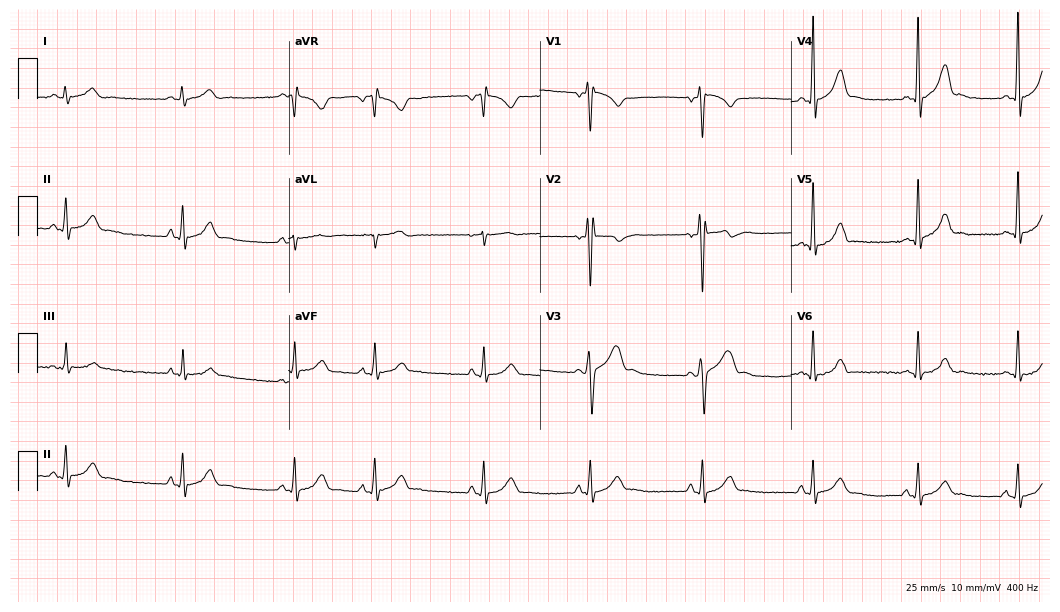
12-lead ECG from a male patient, 18 years old (10.2-second recording at 400 Hz). Recorded interpretation: within normal limits.